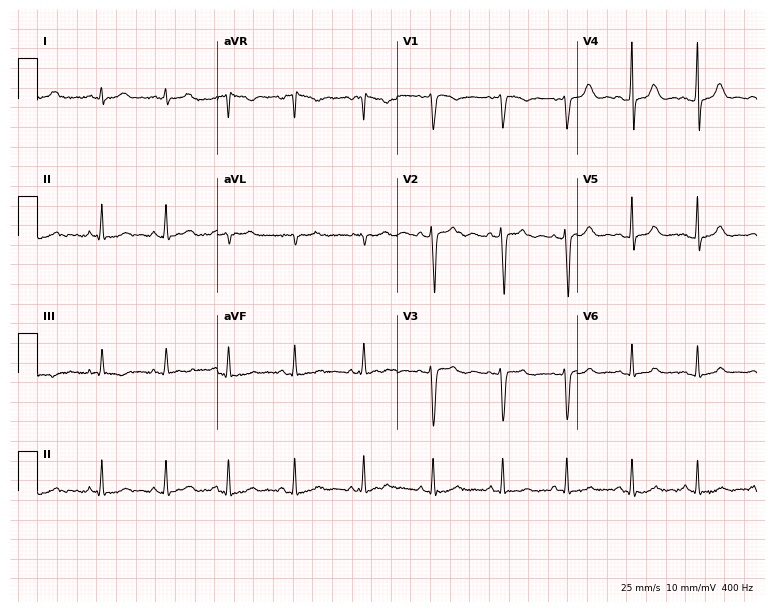
Electrocardiogram (7.3-second recording at 400 Hz), an 18-year-old female patient. Of the six screened findings (first-degree AV block, right bundle branch block, left bundle branch block, sinus bradycardia, atrial fibrillation, sinus tachycardia), none is recorded.